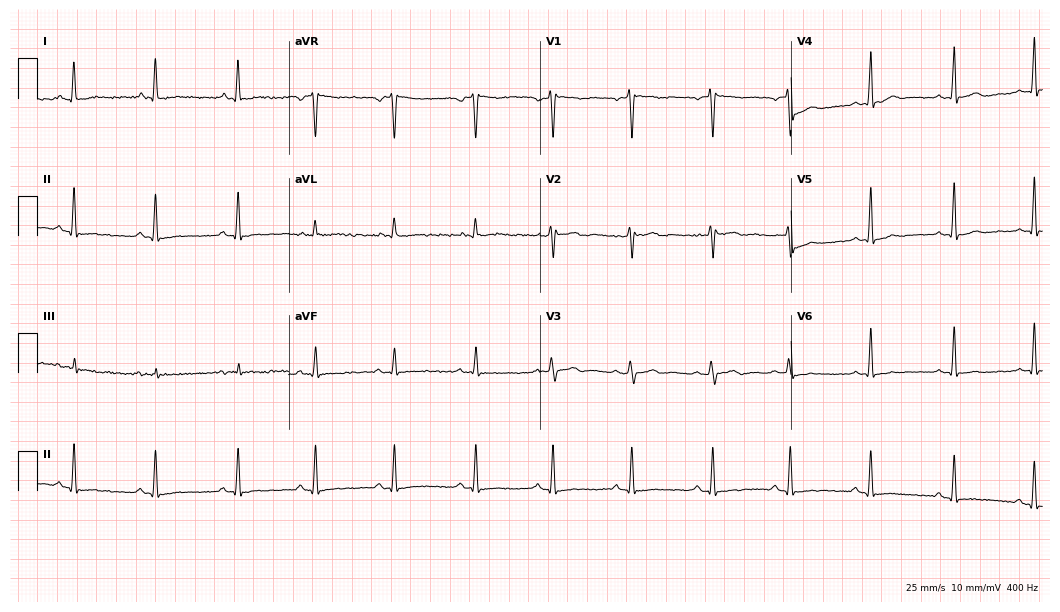
12-lead ECG from a 26-year-old female patient. Screened for six findings — first-degree AV block, right bundle branch block, left bundle branch block, sinus bradycardia, atrial fibrillation, sinus tachycardia — none is recorded. Findings outside these six are not listed.